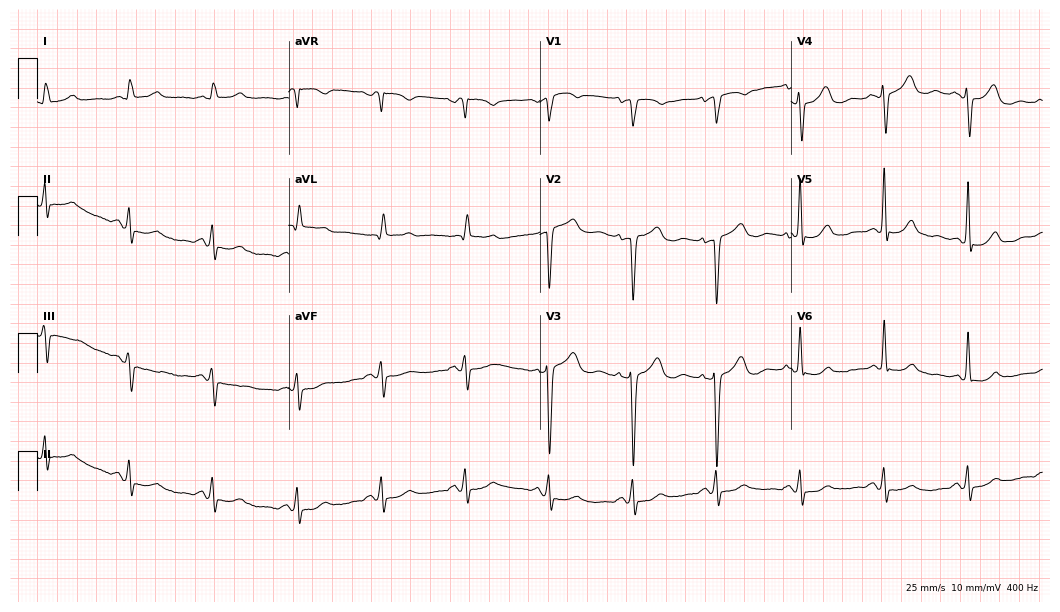
Standard 12-lead ECG recorded from a 72-year-old man. Read as a normal ECG.